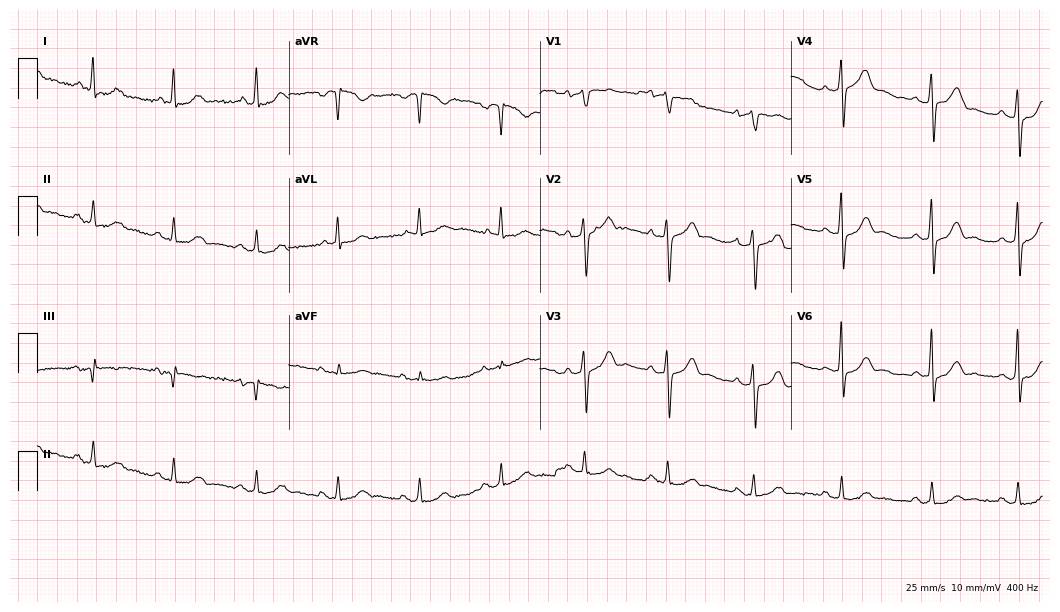
Resting 12-lead electrocardiogram. Patient: a 64-year-old man. Read as a normal ECG.